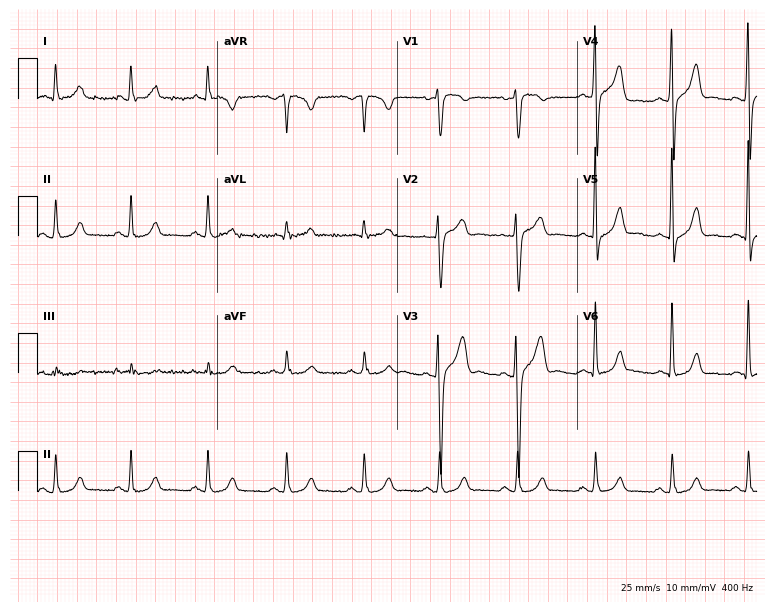
Resting 12-lead electrocardiogram. Patient: a male, 49 years old. None of these six findings is recorded: first-degree AV block, right bundle branch block, left bundle branch block, sinus bradycardia, atrial fibrillation, sinus tachycardia.